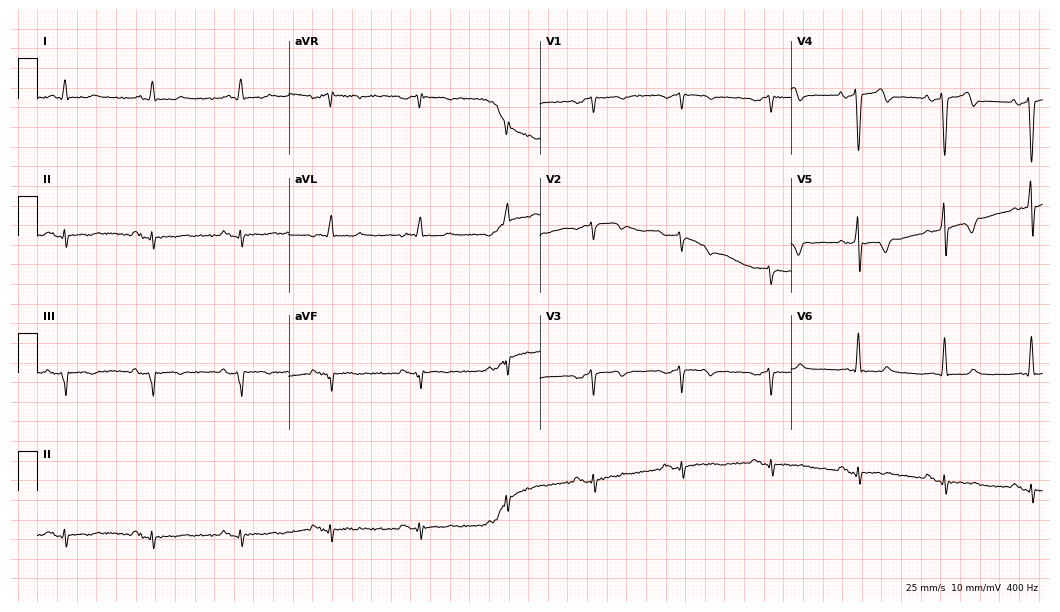
Resting 12-lead electrocardiogram. Patient: a man, 71 years old. None of these six findings is recorded: first-degree AV block, right bundle branch block, left bundle branch block, sinus bradycardia, atrial fibrillation, sinus tachycardia. Other findings, if any, are not listed.